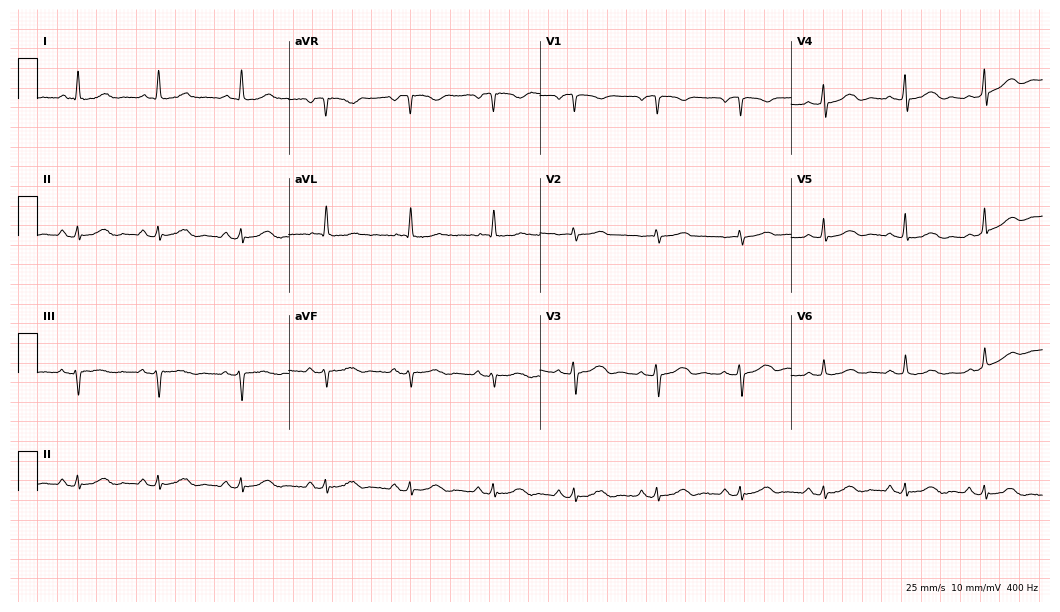
Standard 12-lead ECG recorded from a female patient, 59 years old (10.2-second recording at 400 Hz). Read as a normal ECG.